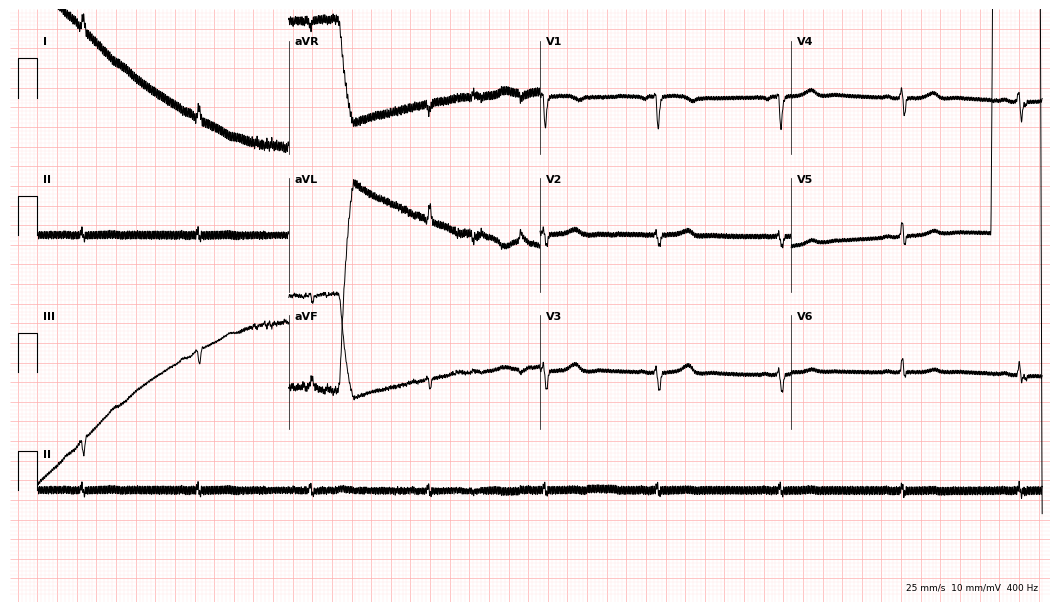
12-lead ECG from a 67-year-old woman. Screened for six findings — first-degree AV block, right bundle branch block (RBBB), left bundle branch block (LBBB), sinus bradycardia, atrial fibrillation (AF), sinus tachycardia — none is recorded.